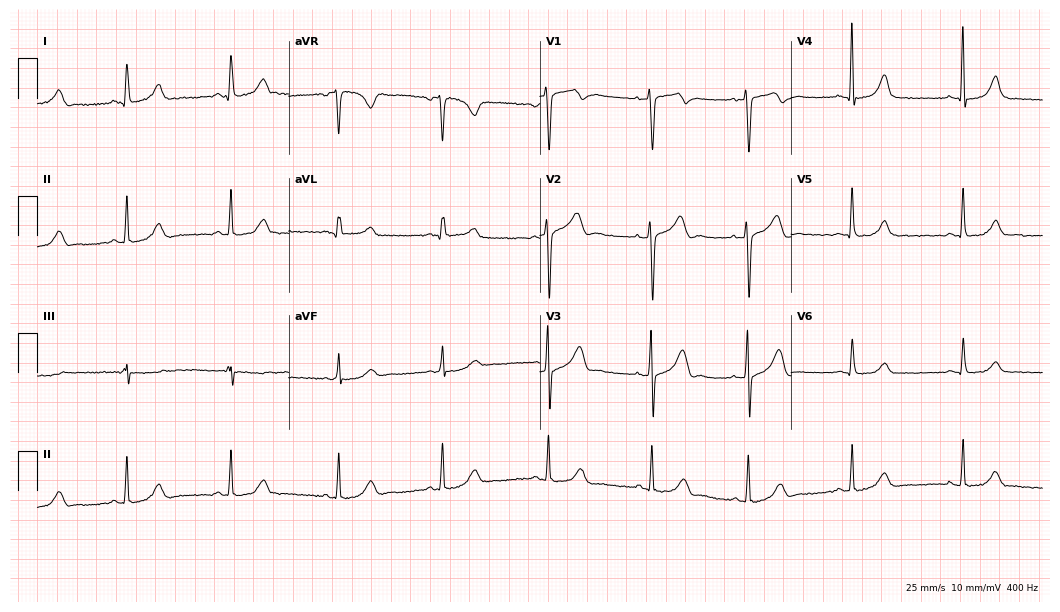
12-lead ECG from a 31-year-old female patient. Labelled as a normal ECG.